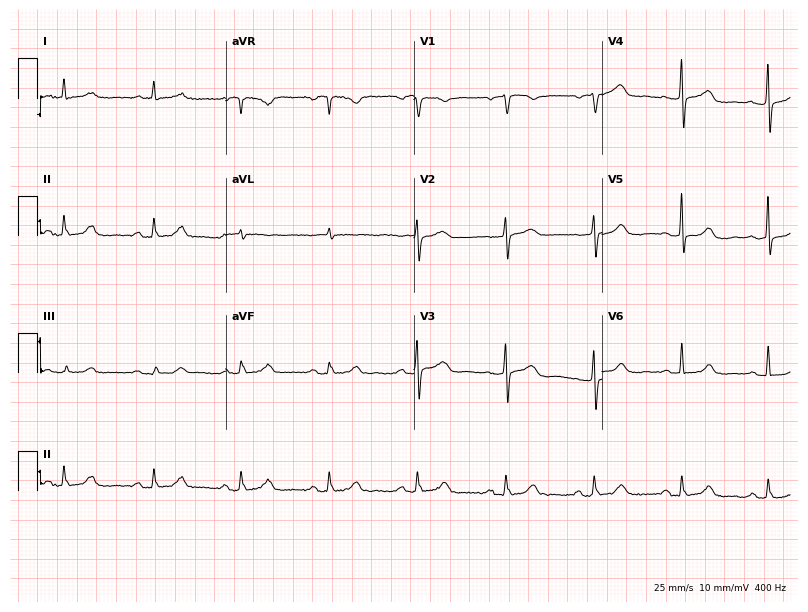
12-lead ECG (7.7-second recording at 400 Hz) from a female, 63 years old. Labelled as a normal ECG.